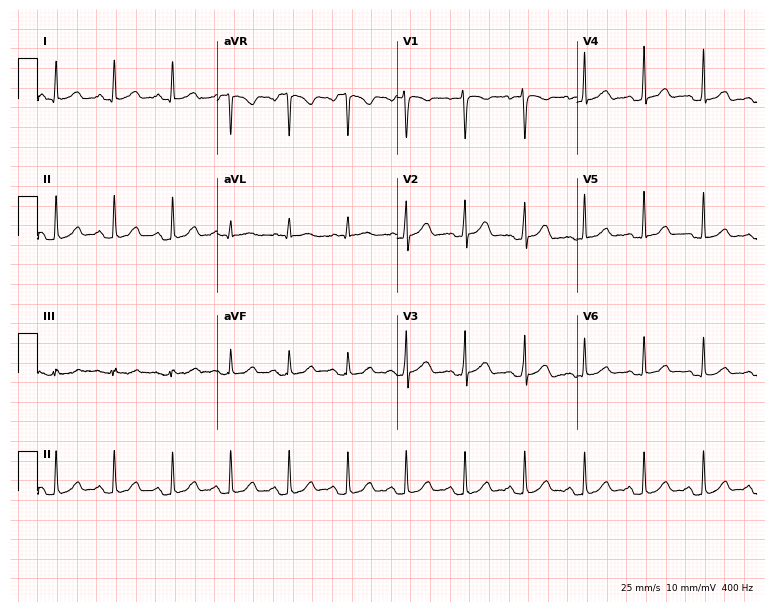
12-lead ECG from a 38-year-old female patient. Labelled as a normal ECG.